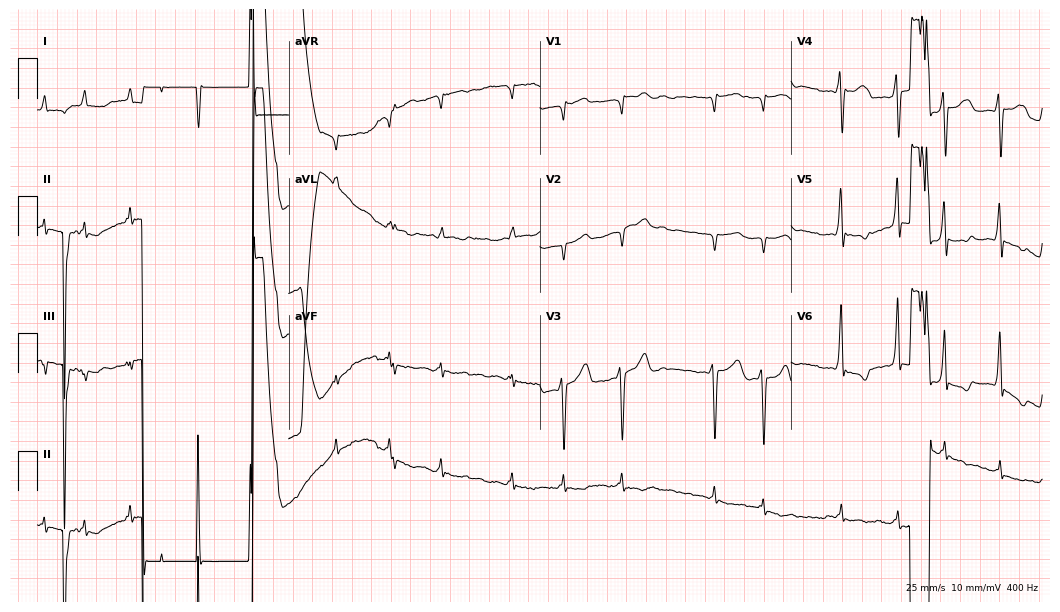
Standard 12-lead ECG recorded from an 83-year-old male (10.2-second recording at 400 Hz). The tracing shows atrial fibrillation.